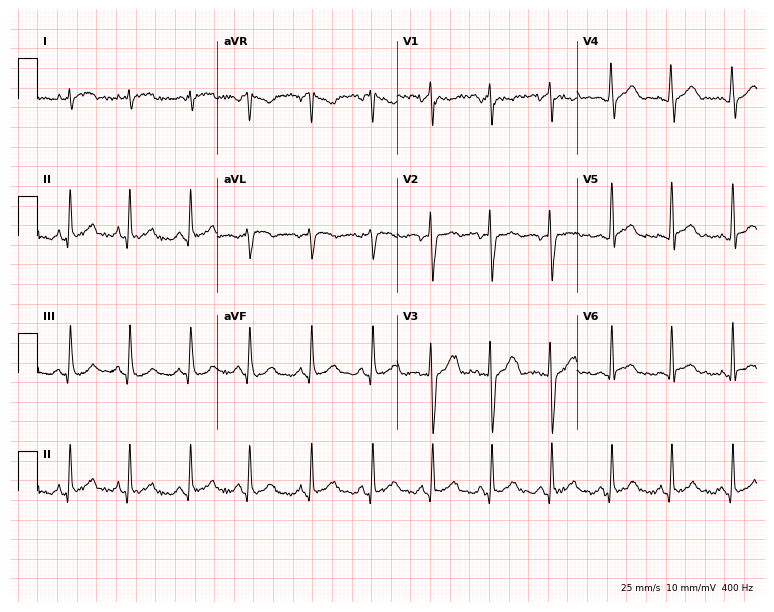
12-lead ECG from a male, 22 years old (7.3-second recording at 400 Hz). No first-degree AV block, right bundle branch block, left bundle branch block, sinus bradycardia, atrial fibrillation or sinus tachycardia recorded for this tracing.